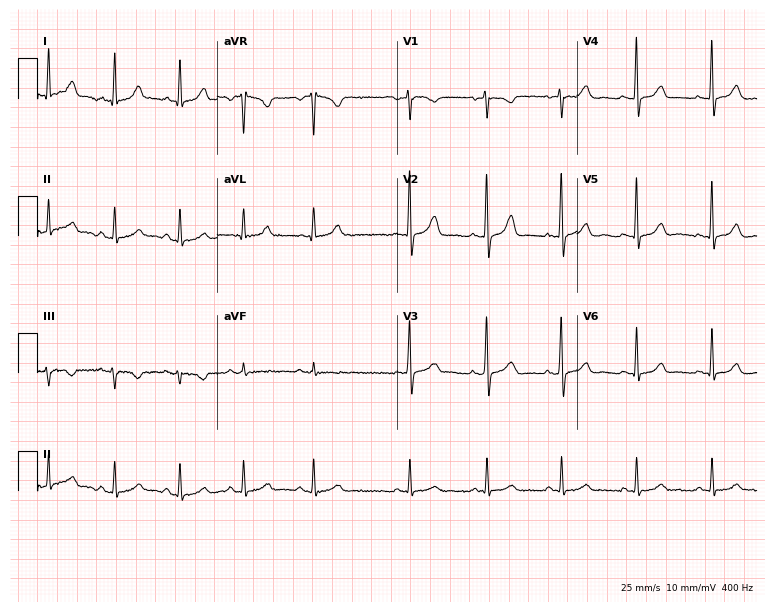
ECG (7.3-second recording at 400 Hz) — a female patient, 32 years old. Labelled as a normal ECG.